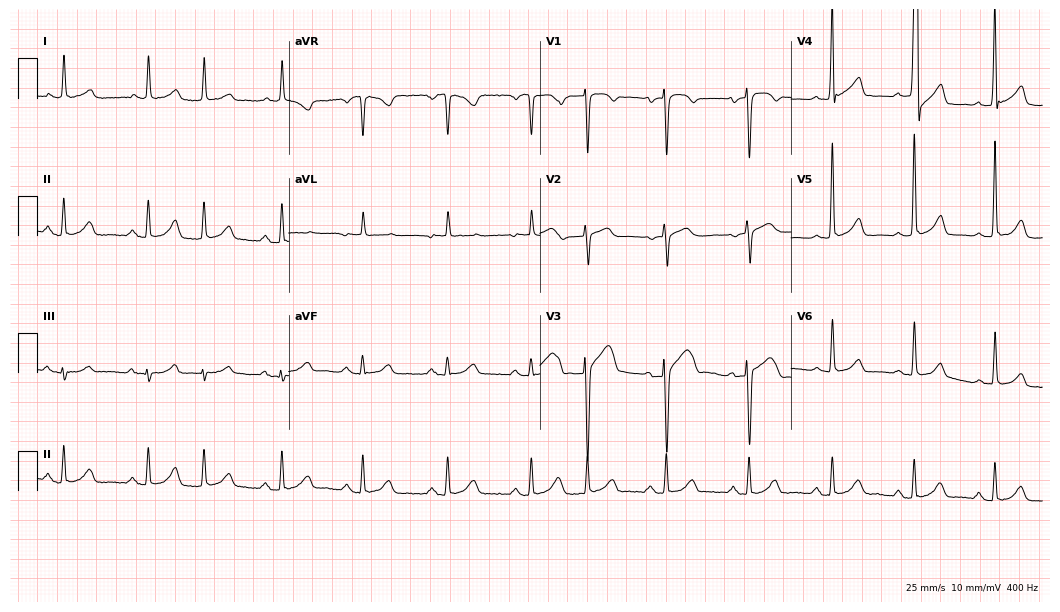
ECG — a 76-year-old female patient. Screened for six findings — first-degree AV block, right bundle branch block (RBBB), left bundle branch block (LBBB), sinus bradycardia, atrial fibrillation (AF), sinus tachycardia — none is recorded. Only these six findings were labelled.